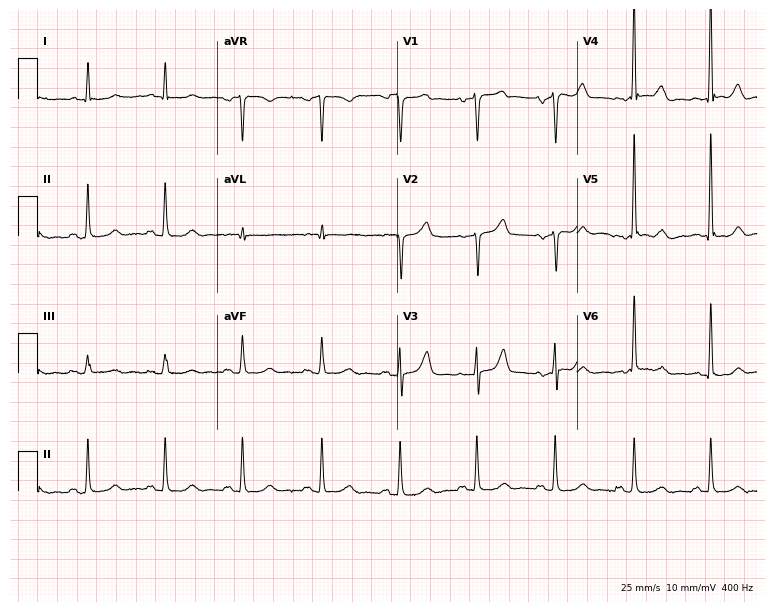
Resting 12-lead electrocardiogram (7.3-second recording at 400 Hz). Patient: a 70-year-old male. Read as a normal ECG.